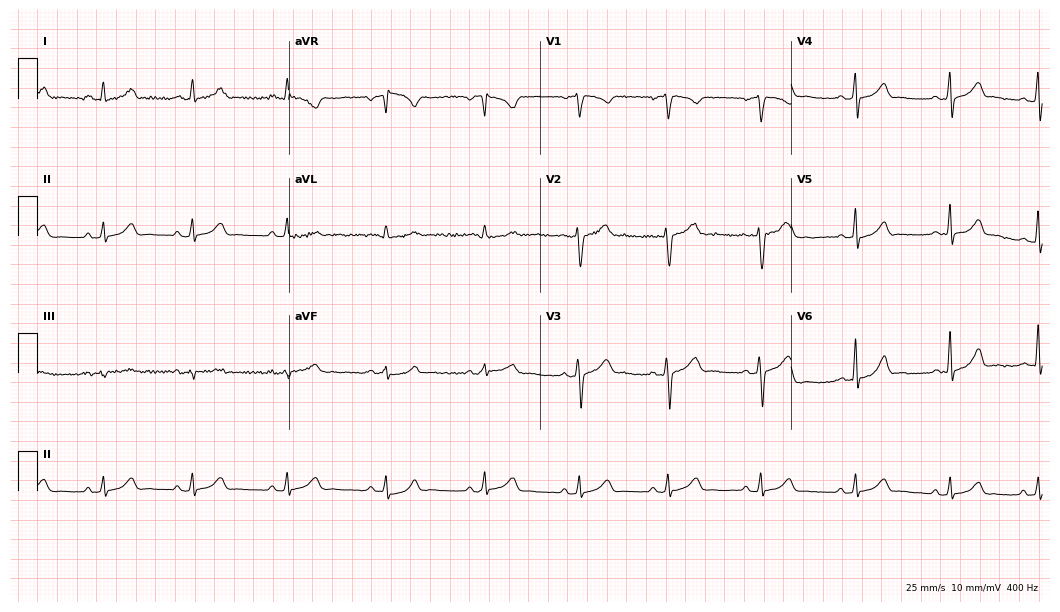
12-lead ECG from a female, 27 years old (10.2-second recording at 400 Hz). Recorded interpretation: within normal limits.